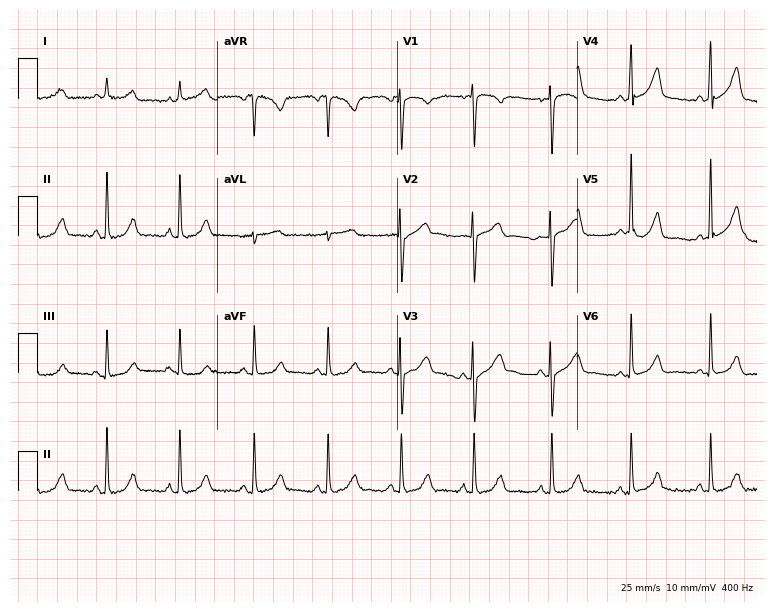
ECG (7.3-second recording at 400 Hz) — a 40-year-old woman. Screened for six findings — first-degree AV block, right bundle branch block, left bundle branch block, sinus bradycardia, atrial fibrillation, sinus tachycardia — none is recorded.